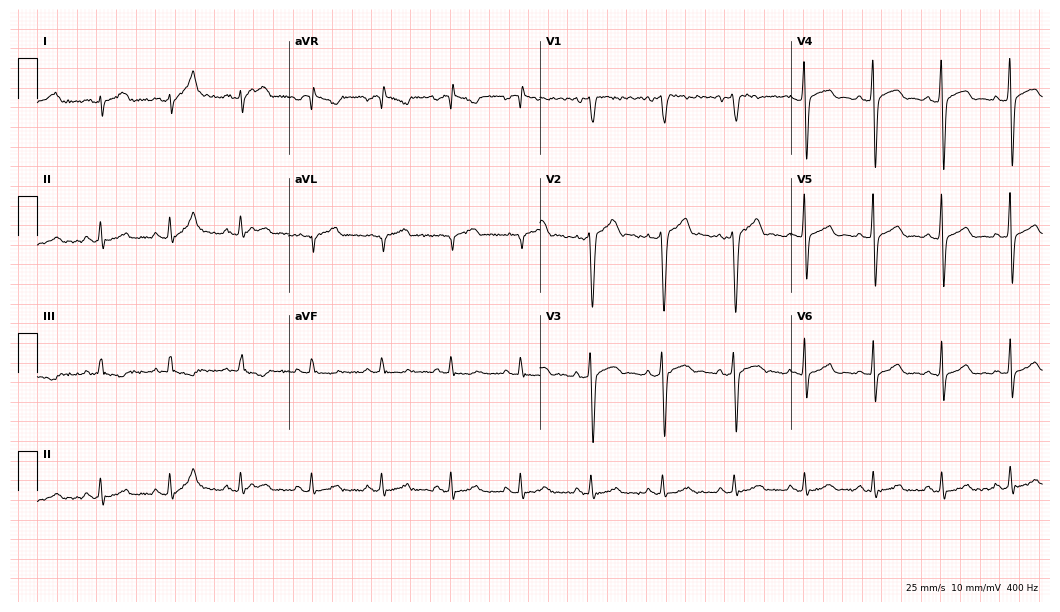
12-lead ECG from a 32-year-old male patient. Screened for six findings — first-degree AV block, right bundle branch block, left bundle branch block, sinus bradycardia, atrial fibrillation, sinus tachycardia — none is recorded. Other findings, if any, are not listed.